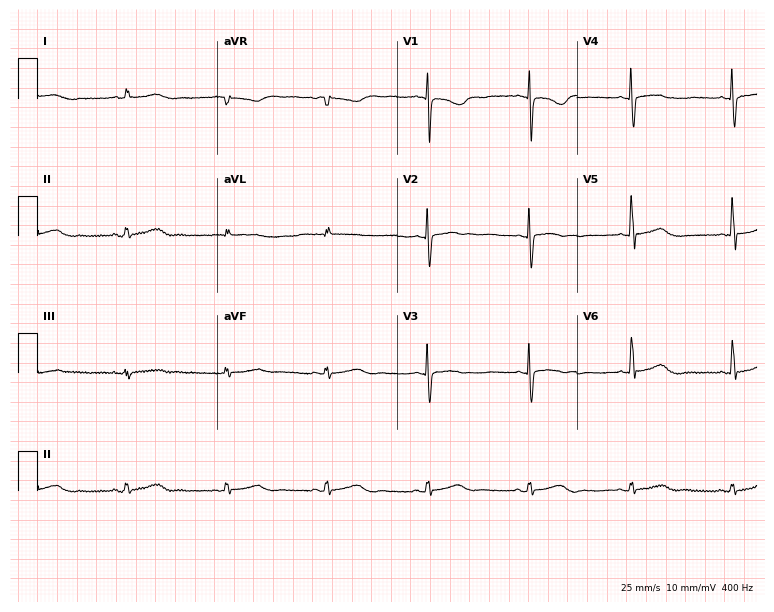
Electrocardiogram, a 69-year-old female patient. Of the six screened findings (first-degree AV block, right bundle branch block, left bundle branch block, sinus bradycardia, atrial fibrillation, sinus tachycardia), none is recorded. Only these six findings were labelled.